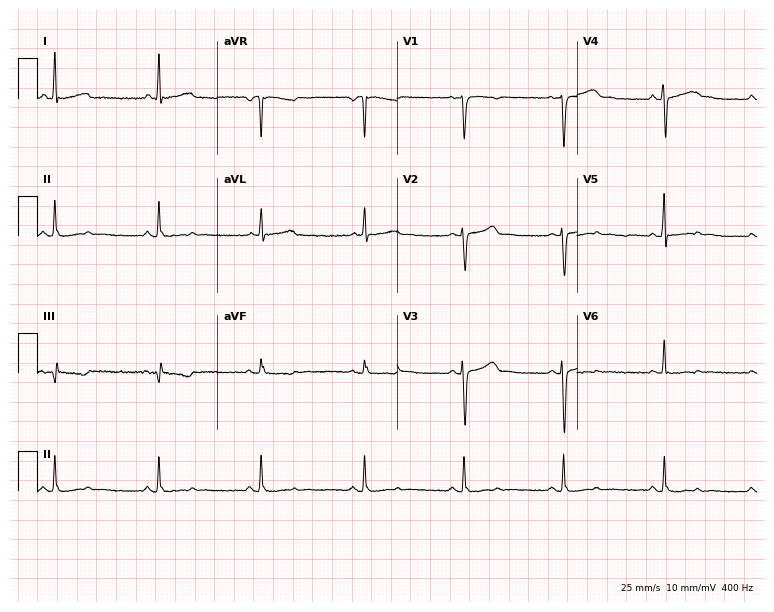
Standard 12-lead ECG recorded from a female patient, 37 years old. None of these six findings is recorded: first-degree AV block, right bundle branch block, left bundle branch block, sinus bradycardia, atrial fibrillation, sinus tachycardia.